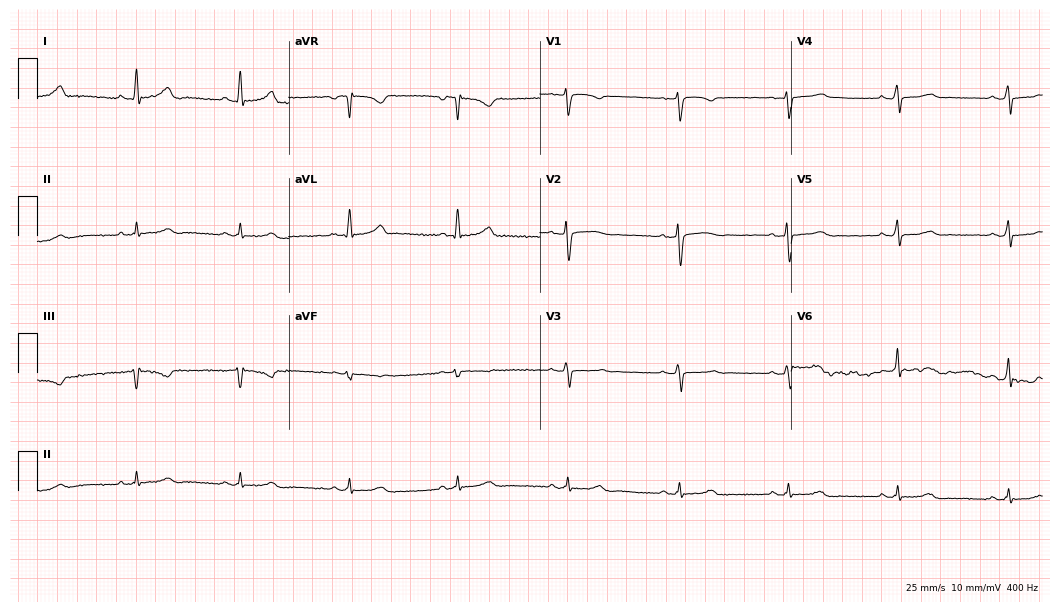
12-lead ECG from a 56-year-old woman (10.2-second recording at 400 Hz). Recorded interpretation: within normal limits.